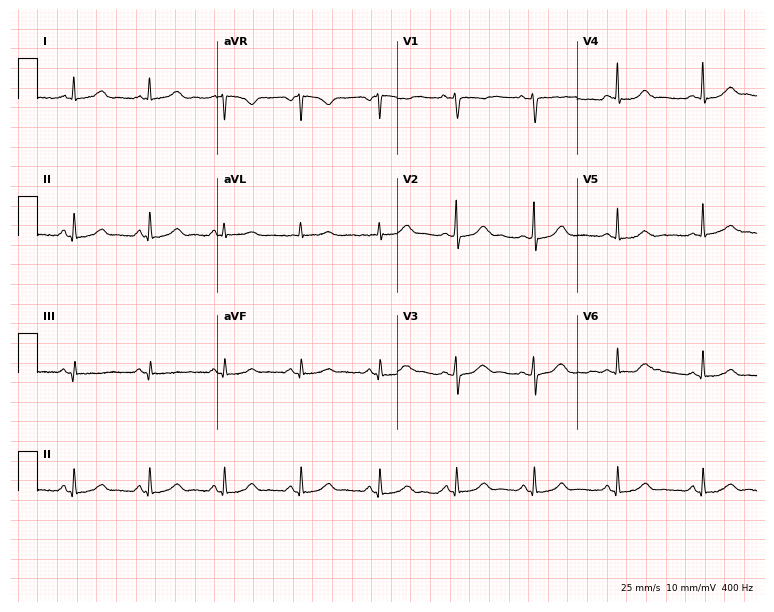
Resting 12-lead electrocardiogram. Patient: a female, 37 years old. Read as a normal ECG.